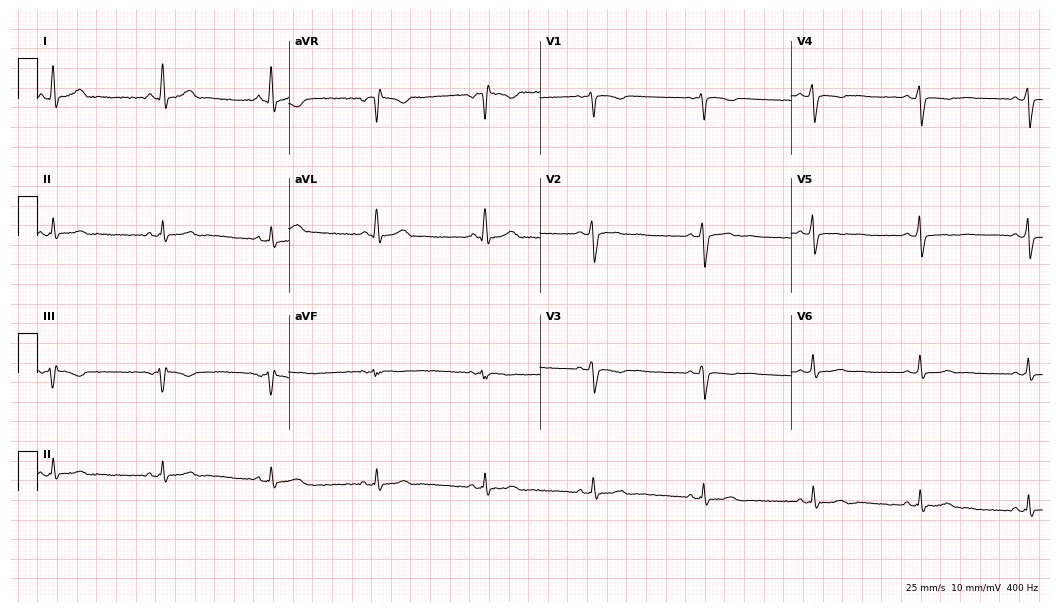
Resting 12-lead electrocardiogram (10.2-second recording at 400 Hz). Patient: a female, 43 years old. Read as a normal ECG.